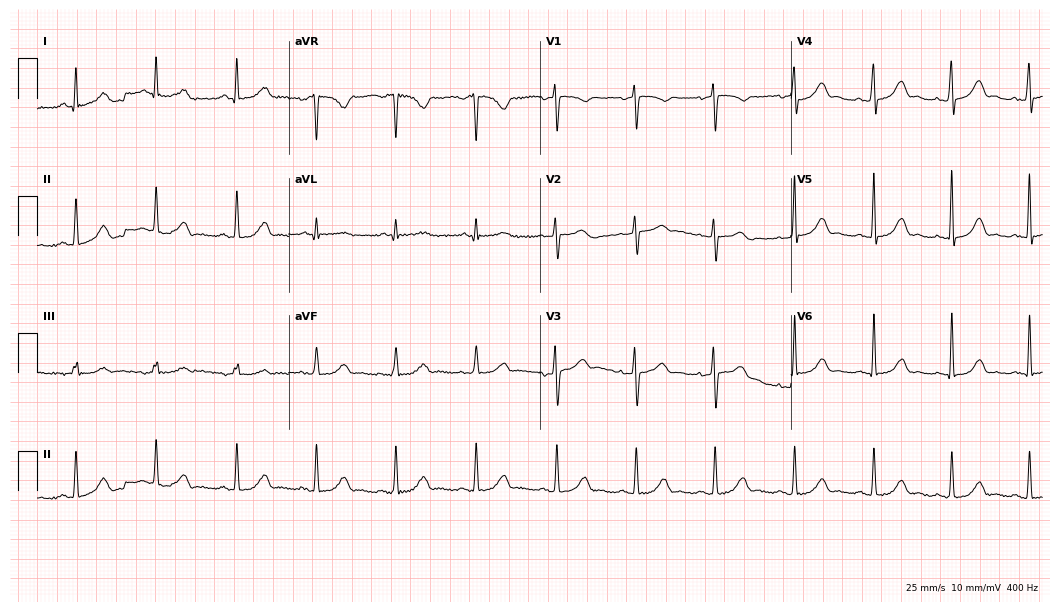
ECG — a 56-year-old woman. Labelled as a normal ECG.